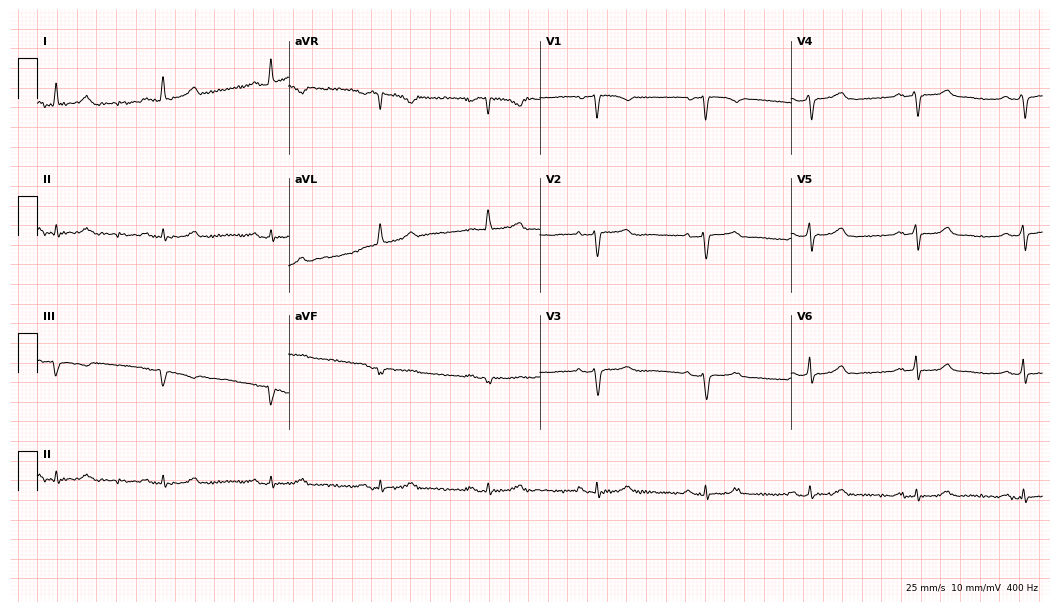
Electrocardiogram (10.2-second recording at 400 Hz), a 52-year-old woman. Of the six screened findings (first-degree AV block, right bundle branch block, left bundle branch block, sinus bradycardia, atrial fibrillation, sinus tachycardia), none is recorded. Only these six findings were labelled.